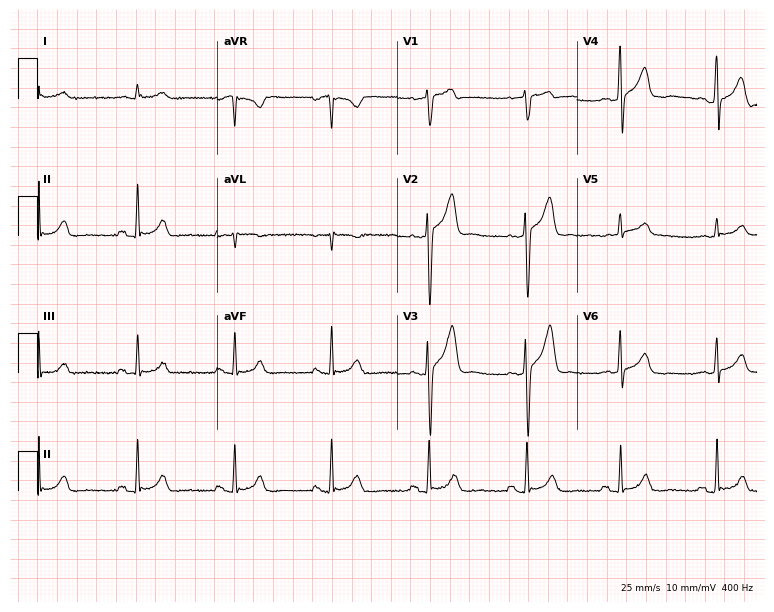
12-lead ECG from a 71-year-old man. Recorded interpretation: within normal limits.